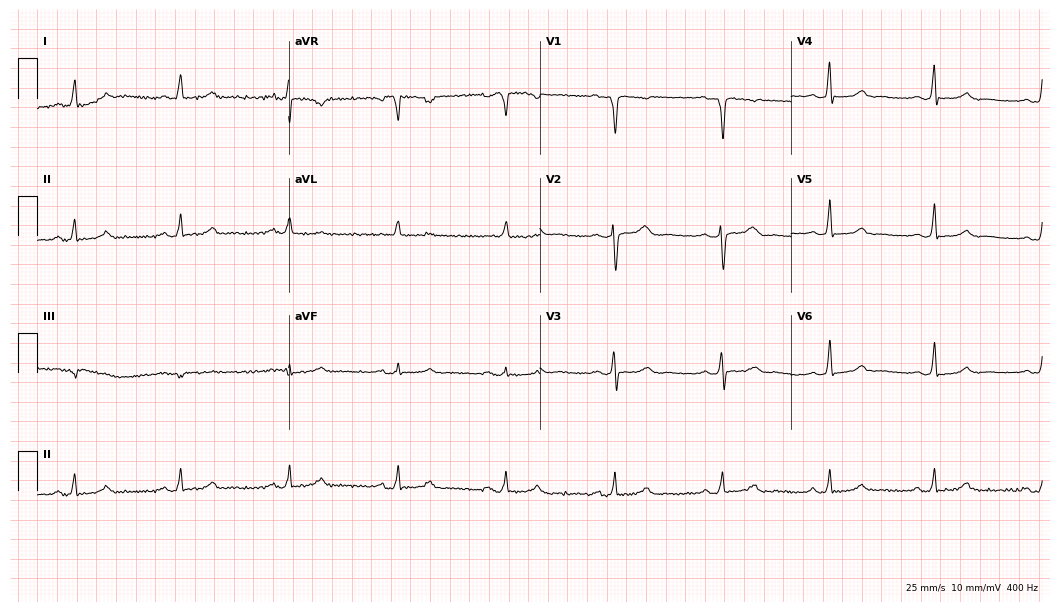
12-lead ECG (10.2-second recording at 400 Hz) from a 63-year-old female. Labelled as a normal ECG.